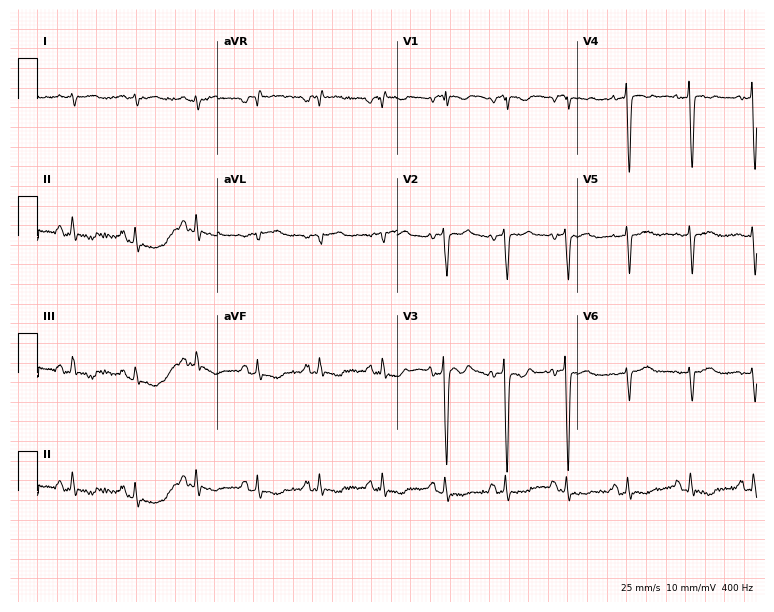
ECG (7.3-second recording at 400 Hz) — a 79-year-old male. Screened for six findings — first-degree AV block, right bundle branch block (RBBB), left bundle branch block (LBBB), sinus bradycardia, atrial fibrillation (AF), sinus tachycardia — none is recorded. Findings outside these six are not listed.